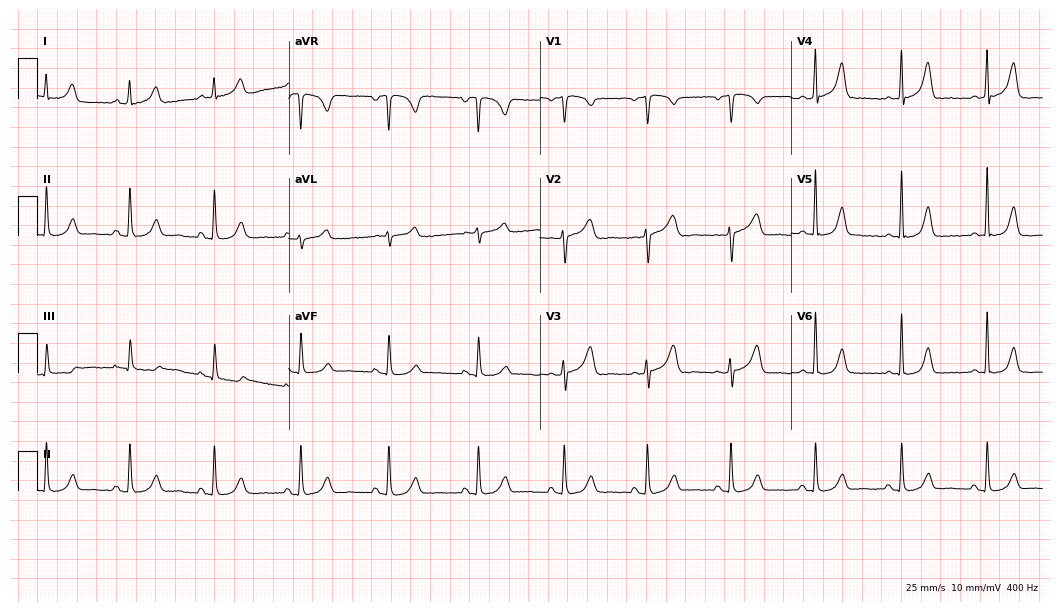
Resting 12-lead electrocardiogram (10.2-second recording at 400 Hz). Patient: a woman, 83 years old. Read as a normal ECG.